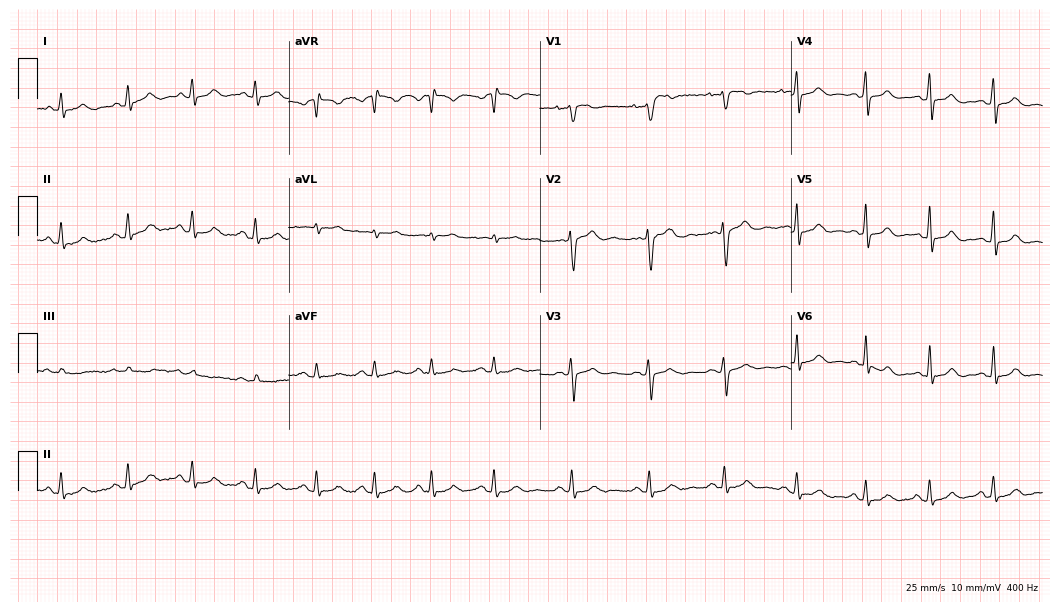
Electrocardiogram (10.2-second recording at 400 Hz), a 31-year-old female. Overall reading on record: normal ECG.